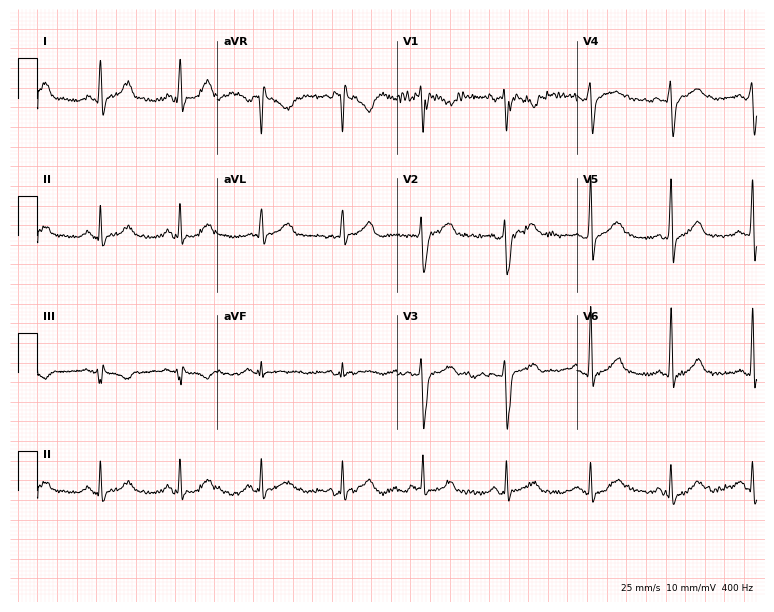
12-lead ECG from a 26-year-old man (7.3-second recording at 400 Hz). No first-degree AV block, right bundle branch block, left bundle branch block, sinus bradycardia, atrial fibrillation or sinus tachycardia recorded for this tracing. Only these six findings were labelled.